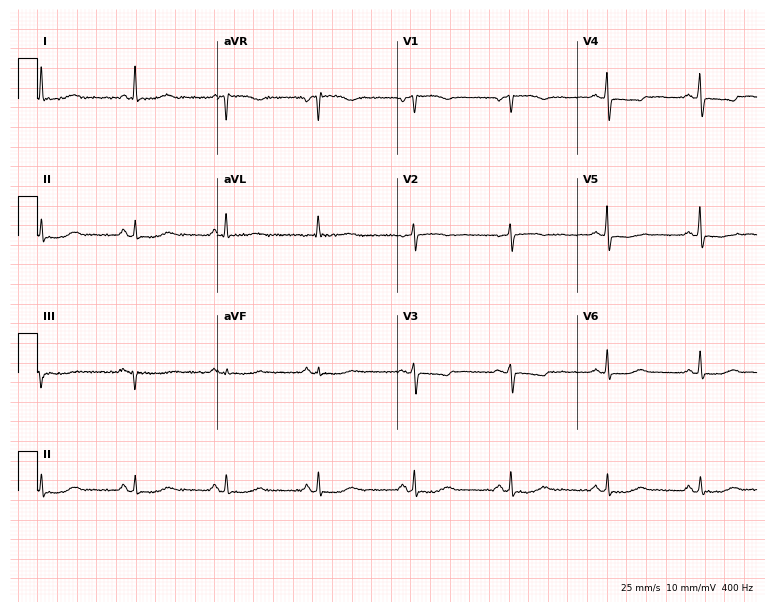
12-lead ECG from a female patient, 63 years old. Screened for six findings — first-degree AV block, right bundle branch block, left bundle branch block, sinus bradycardia, atrial fibrillation, sinus tachycardia — none is recorded. Findings outside these six are not listed.